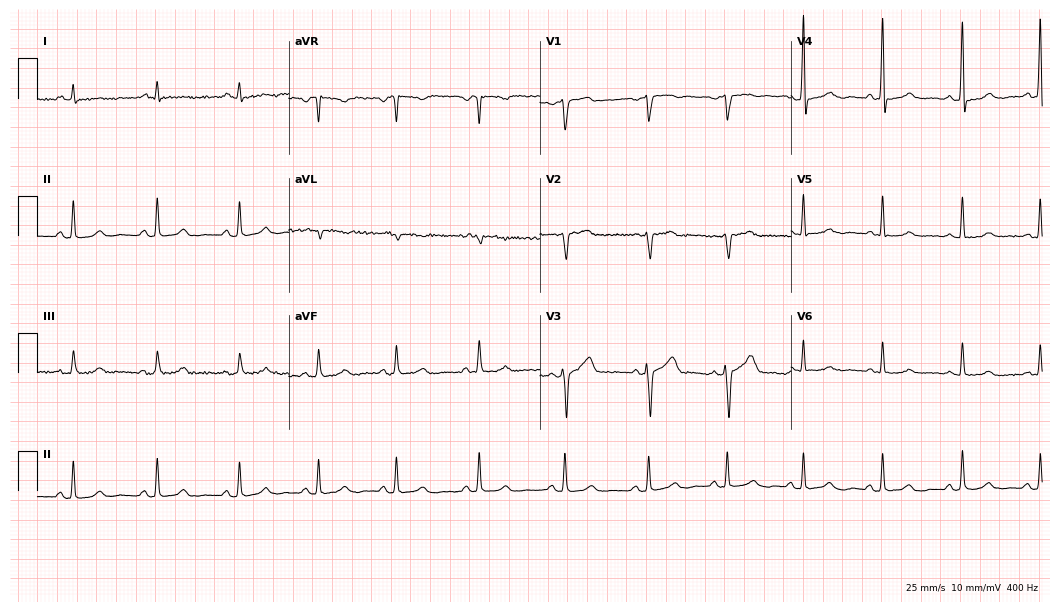
Resting 12-lead electrocardiogram. Patient: a 61-year-old male. Read as a normal ECG.